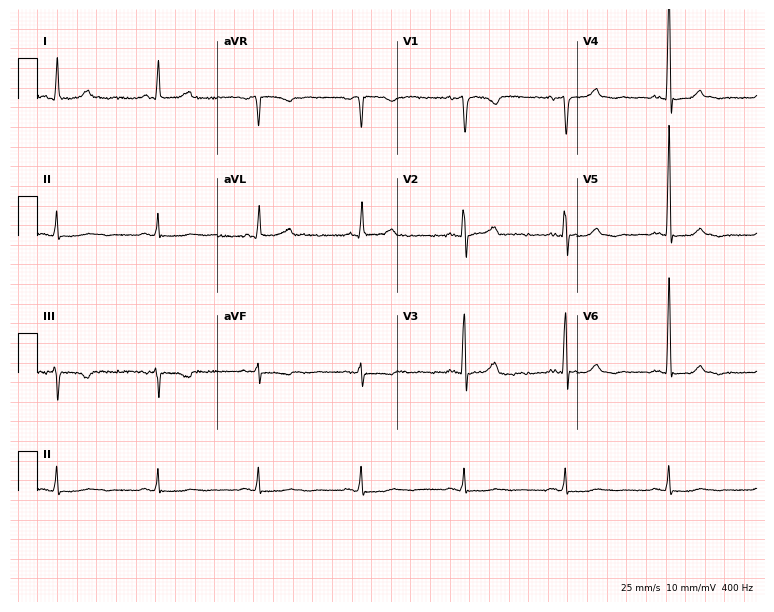
12-lead ECG from a female, 70 years old. Screened for six findings — first-degree AV block, right bundle branch block (RBBB), left bundle branch block (LBBB), sinus bradycardia, atrial fibrillation (AF), sinus tachycardia — none is recorded.